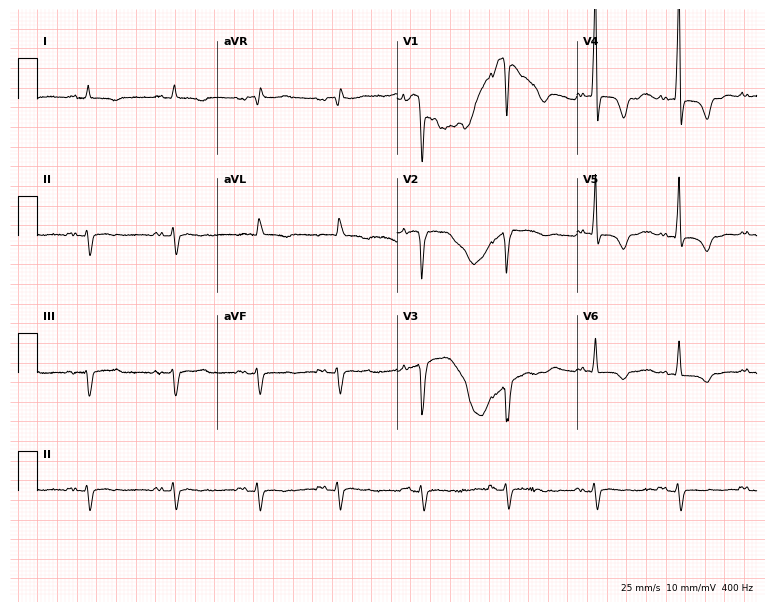
Standard 12-lead ECG recorded from a male patient, 63 years old. None of these six findings is recorded: first-degree AV block, right bundle branch block (RBBB), left bundle branch block (LBBB), sinus bradycardia, atrial fibrillation (AF), sinus tachycardia. Only these six findings were labelled.